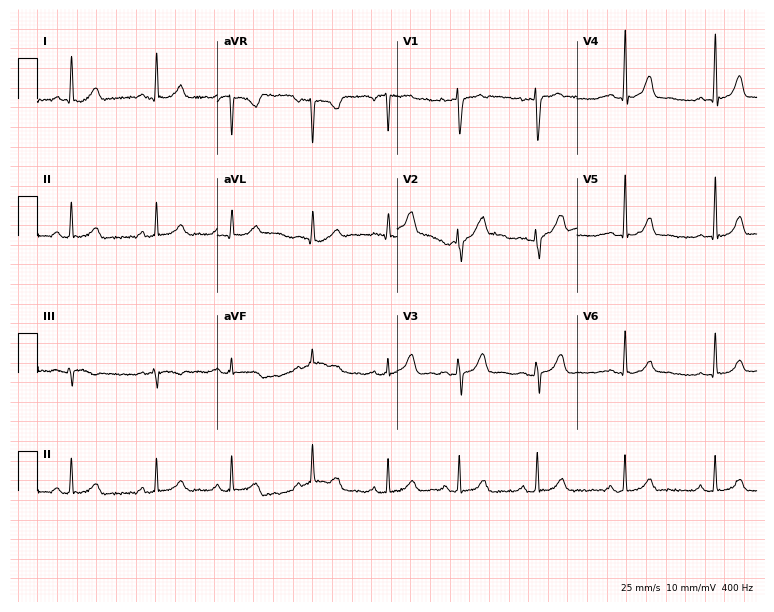
Resting 12-lead electrocardiogram (7.3-second recording at 400 Hz). Patient: a 45-year-old female. None of these six findings is recorded: first-degree AV block, right bundle branch block, left bundle branch block, sinus bradycardia, atrial fibrillation, sinus tachycardia. Other findings, if any, are not listed.